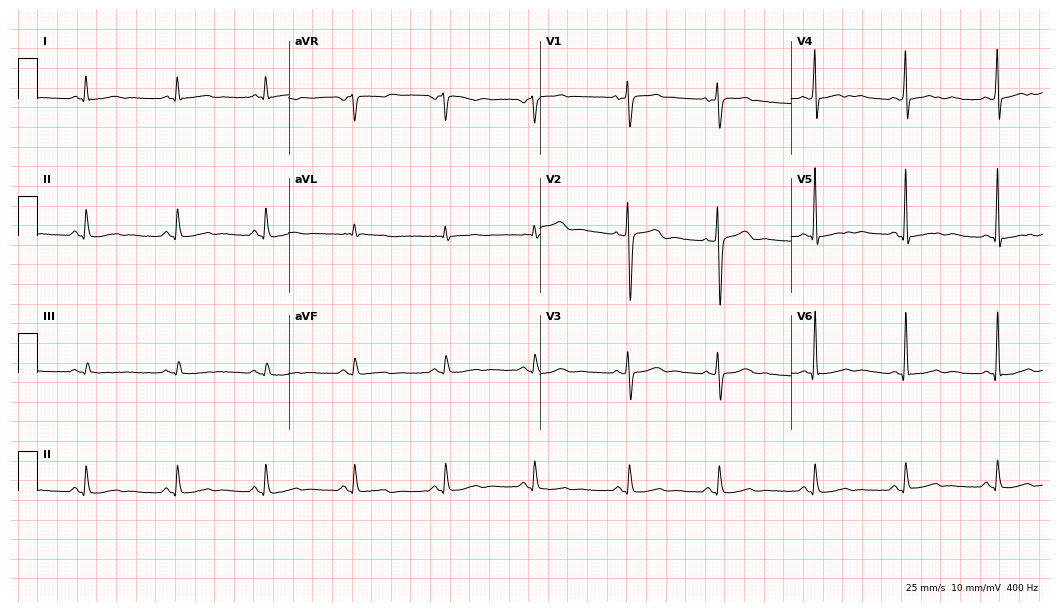
12-lead ECG from a 52-year-old male patient. Recorded interpretation: within normal limits.